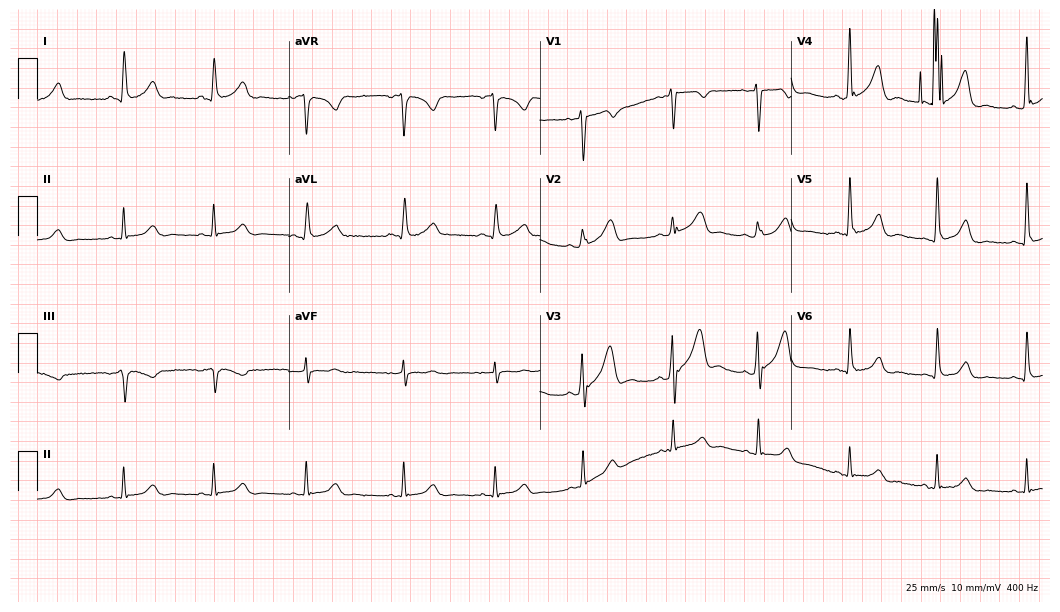
Standard 12-lead ECG recorded from a male, 33 years old (10.2-second recording at 400 Hz). None of these six findings is recorded: first-degree AV block, right bundle branch block (RBBB), left bundle branch block (LBBB), sinus bradycardia, atrial fibrillation (AF), sinus tachycardia.